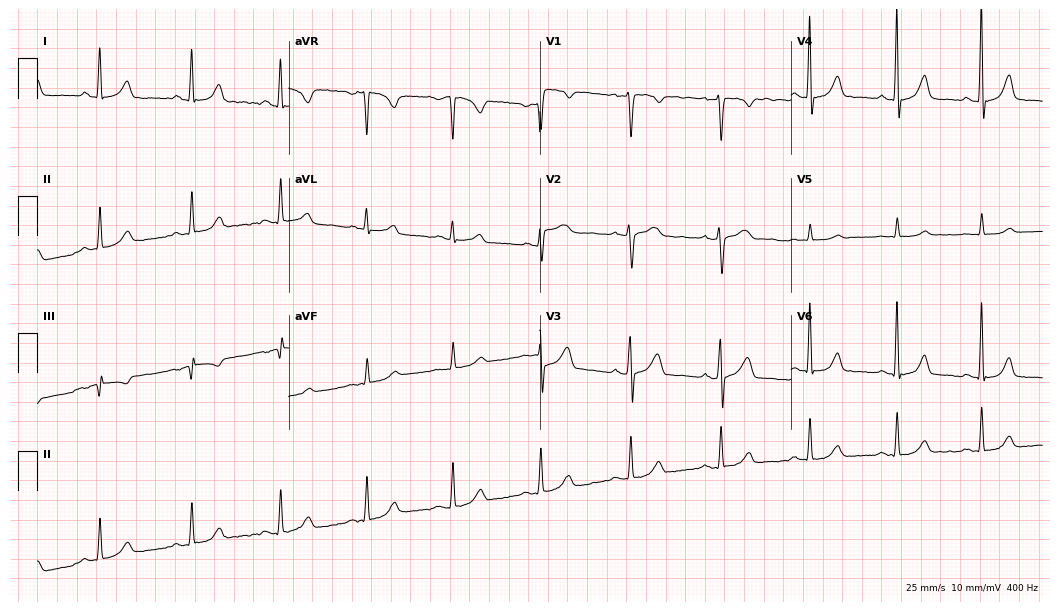
ECG — a woman, 48 years old. Labelled as a normal ECG.